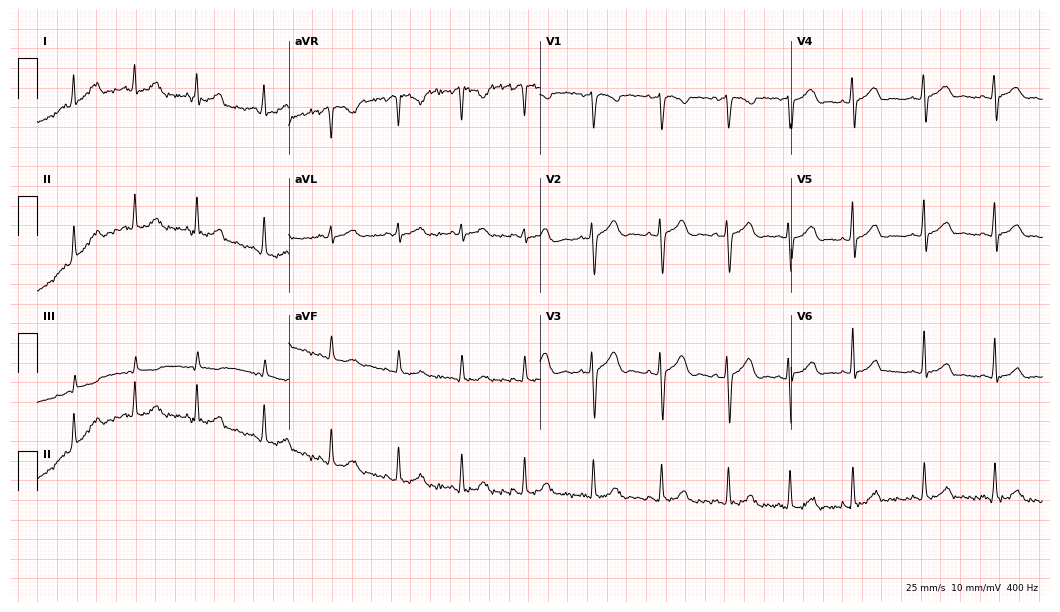
12-lead ECG from a female, 21 years old (10.2-second recording at 400 Hz). Recorded interpretation: within normal limits.